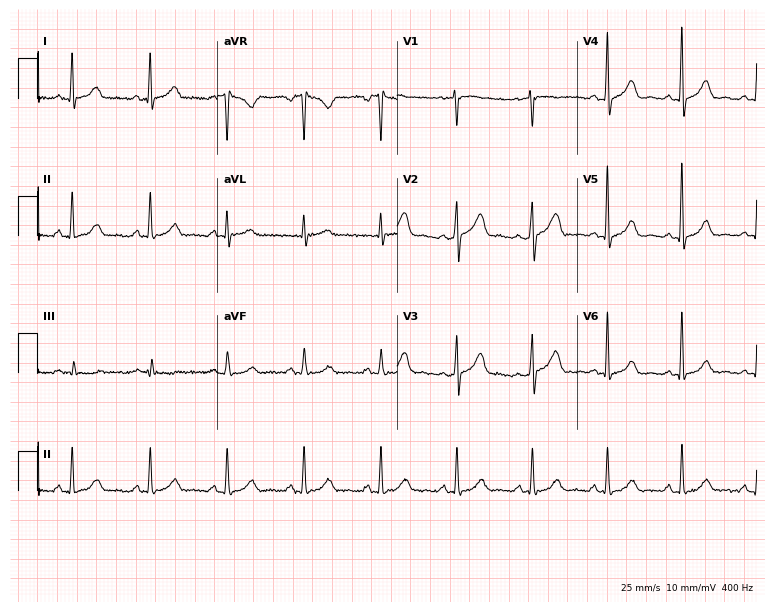
Electrocardiogram (7.3-second recording at 400 Hz), a female, 54 years old. Overall reading on record: normal ECG.